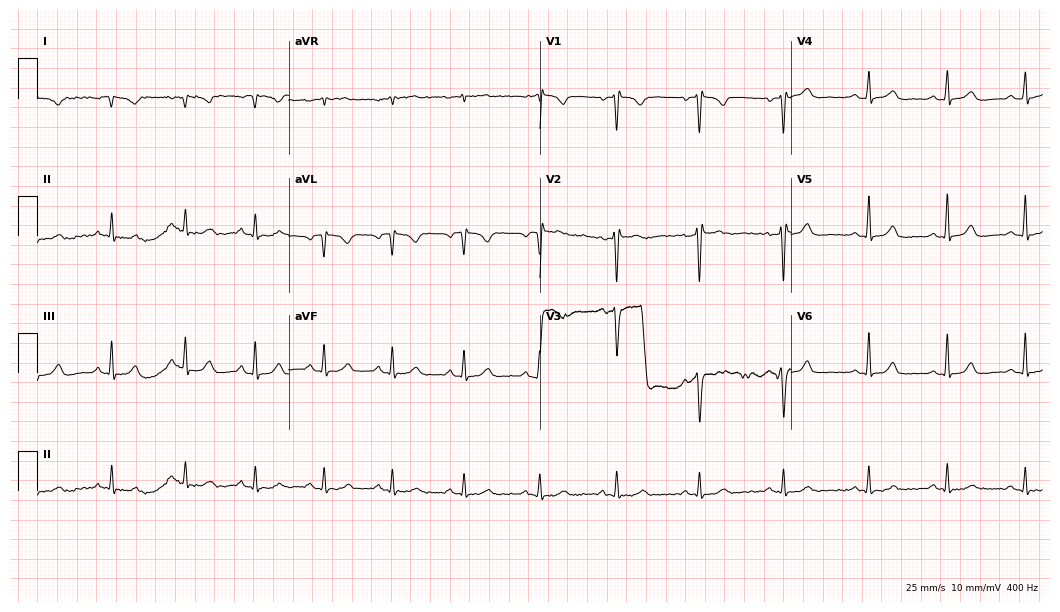
12-lead ECG from a female, 38 years old. Screened for six findings — first-degree AV block, right bundle branch block (RBBB), left bundle branch block (LBBB), sinus bradycardia, atrial fibrillation (AF), sinus tachycardia — none is recorded.